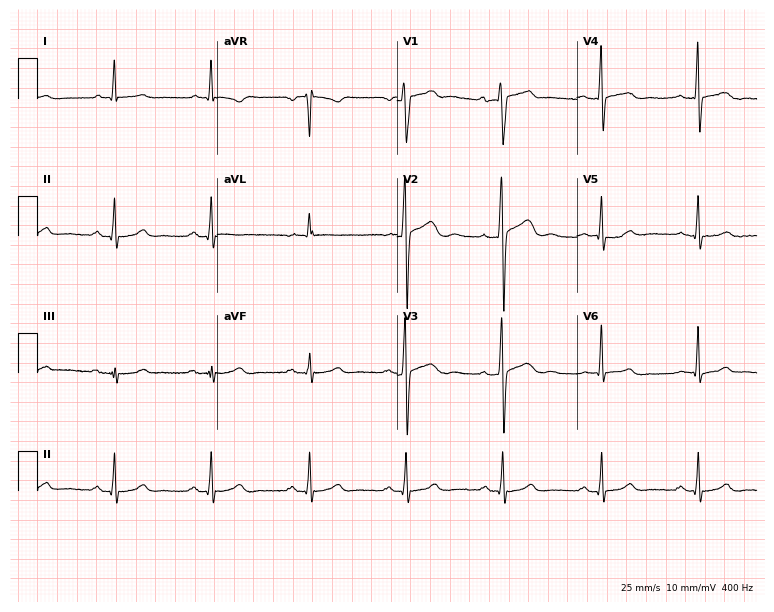
ECG (7.3-second recording at 400 Hz) — a man, 52 years old. Labelled as a normal ECG.